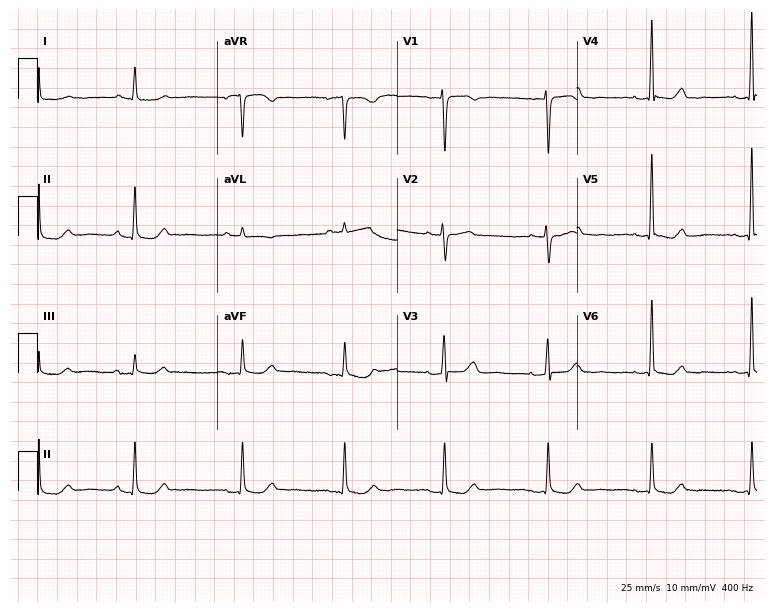
Standard 12-lead ECG recorded from a female, 65 years old (7.3-second recording at 400 Hz). None of these six findings is recorded: first-degree AV block, right bundle branch block, left bundle branch block, sinus bradycardia, atrial fibrillation, sinus tachycardia. Other findings, if any, are not listed.